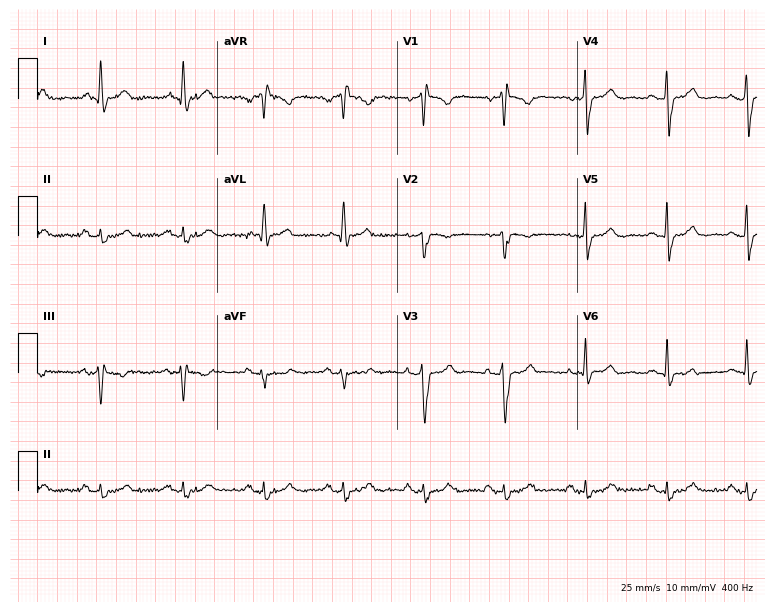
12-lead ECG from a male, 75 years old. No first-degree AV block, right bundle branch block (RBBB), left bundle branch block (LBBB), sinus bradycardia, atrial fibrillation (AF) or sinus tachycardia recorded for this tracing. Only these six findings were labelled.